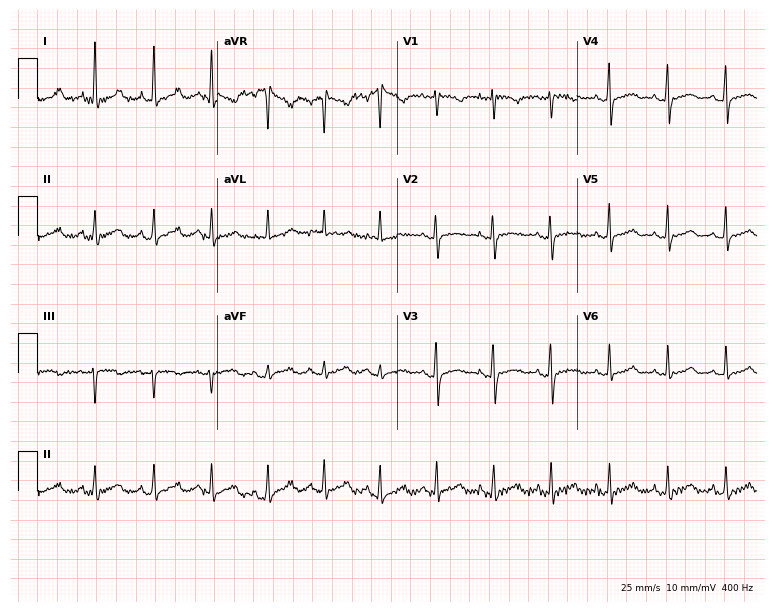
Standard 12-lead ECG recorded from a female patient, 22 years old. None of these six findings is recorded: first-degree AV block, right bundle branch block, left bundle branch block, sinus bradycardia, atrial fibrillation, sinus tachycardia. Only these six findings were labelled.